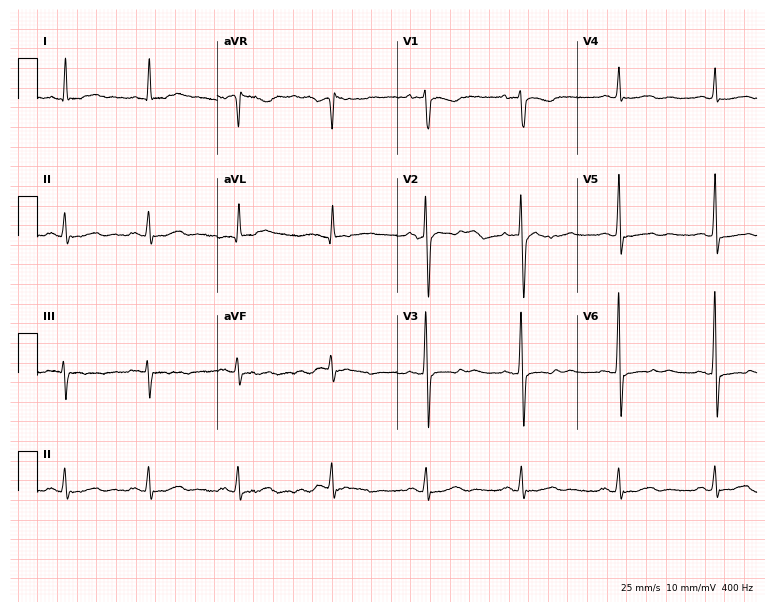
Resting 12-lead electrocardiogram. Patient: a 59-year-old female. None of these six findings is recorded: first-degree AV block, right bundle branch block, left bundle branch block, sinus bradycardia, atrial fibrillation, sinus tachycardia. Other findings, if any, are not listed.